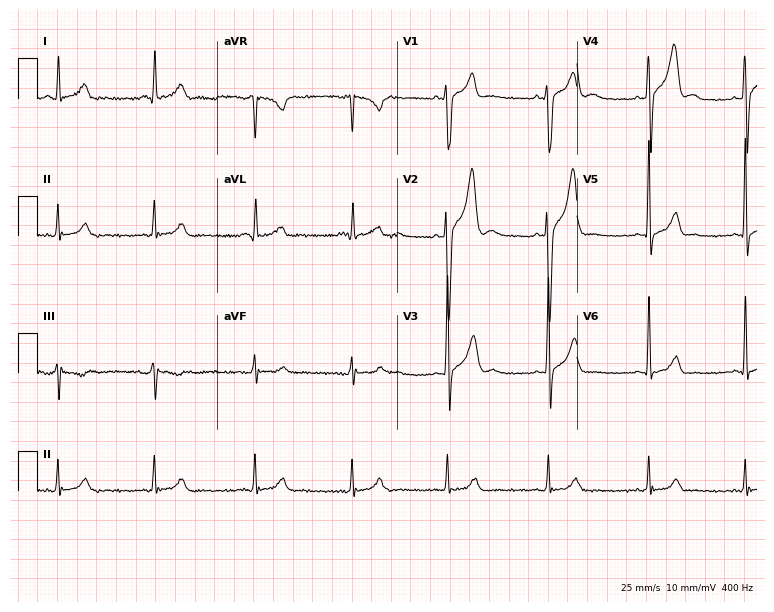
12-lead ECG from a 34-year-old male. No first-degree AV block, right bundle branch block (RBBB), left bundle branch block (LBBB), sinus bradycardia, atrial fibrillation (AF) or sinus tachycardia recorded for this tracing.